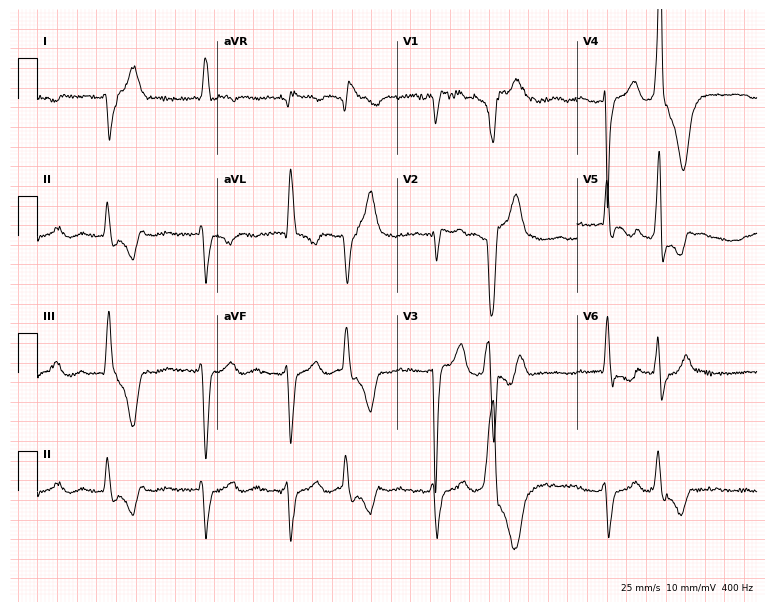
12-lead ECG from a 72-year-old male patient (7.3-second recording at 400 Hz). No first-degree AV block, right bundle branch block, left bundle branch block, sinus bradycardia, atrial fibrillation or sinus tachycardia recorded for this tracing. Findings outside these six are not listed.